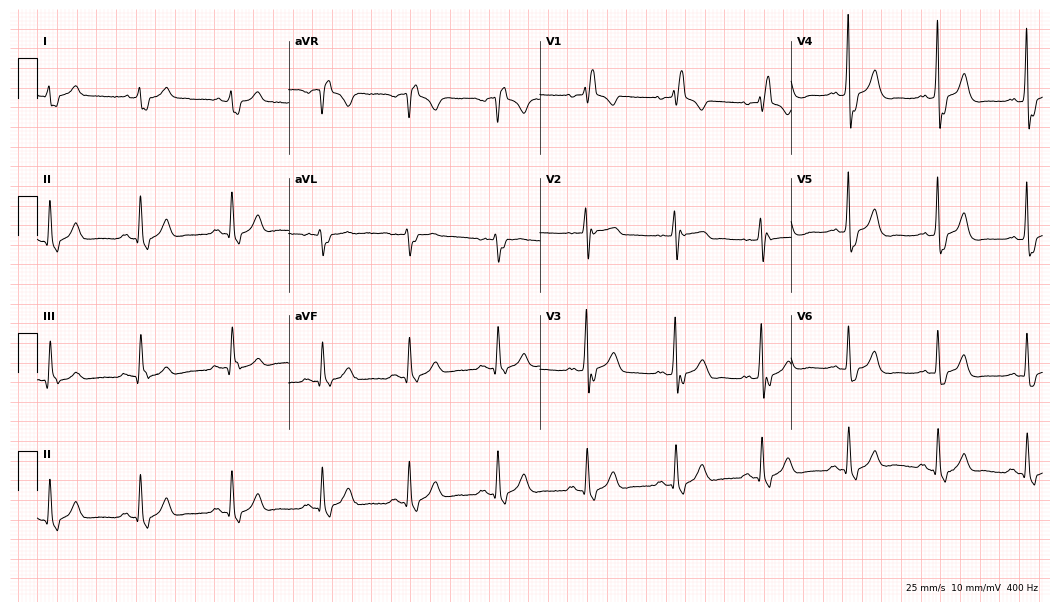
Resting 12-lead electrocardiogram. Patient: a male, 80 years old. The tracing shows right bundle branch block.